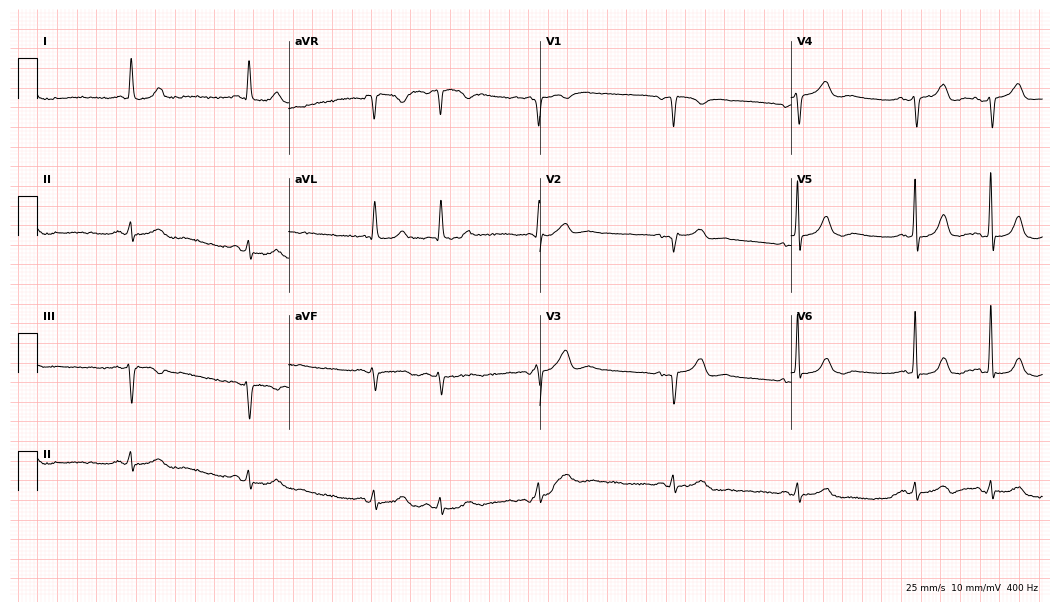
Electrocardiogram (10.2-second recording at 400 Hz), a man, 85 years old. Overall reading on record: normal ECG.